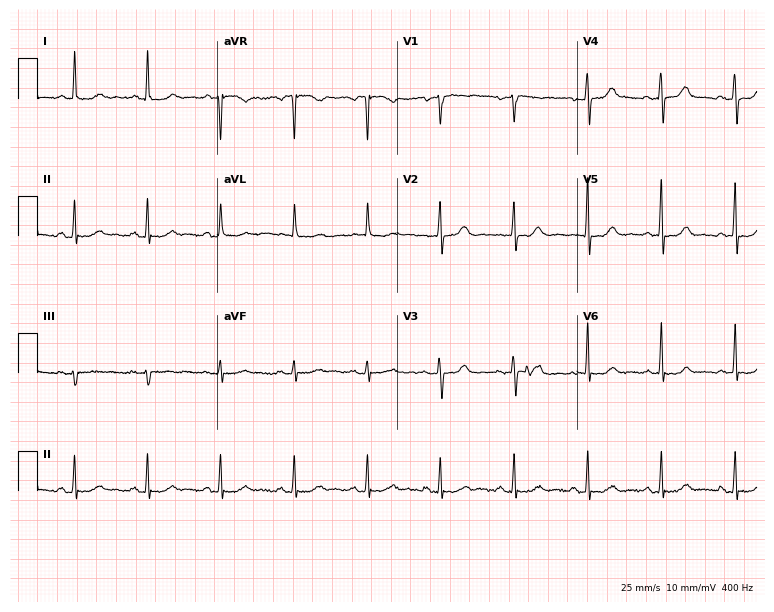
Standard 12-lead ECG recorded from a woman, 66 years old (7.3-second recording at 400 Hz). Read as a normal ECG.